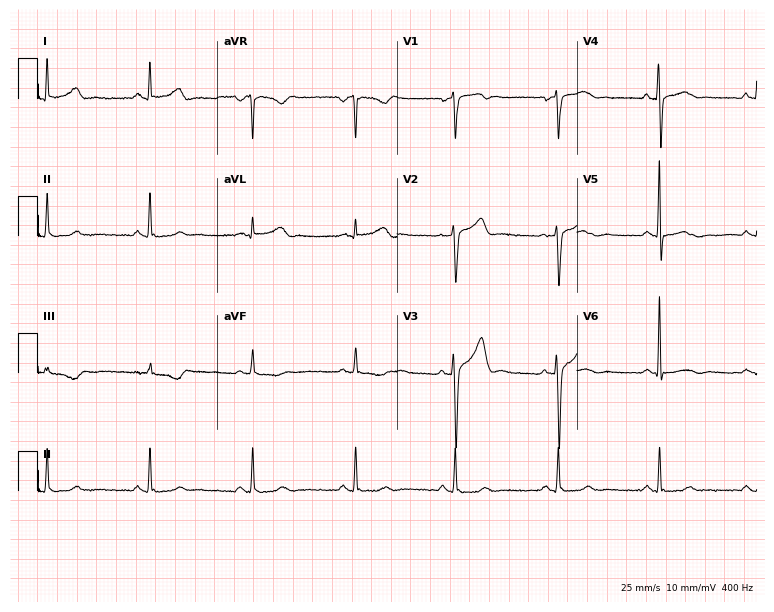
Standard 12-lead ECG recorded from a 43-year-old man. Read as a normal ECG.